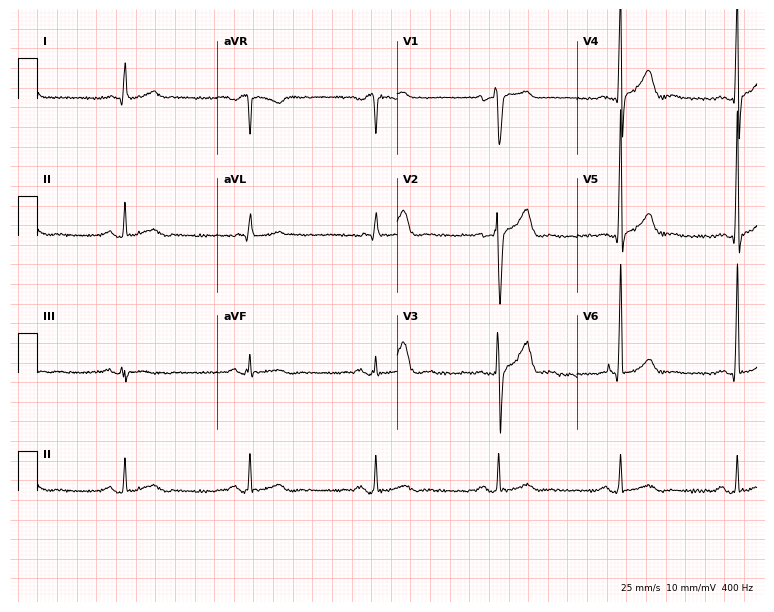
Standard 12-lead ECG recorded from a 54-year-old male (7.3-second recording at 400 Hz). Read as a normal ECG.